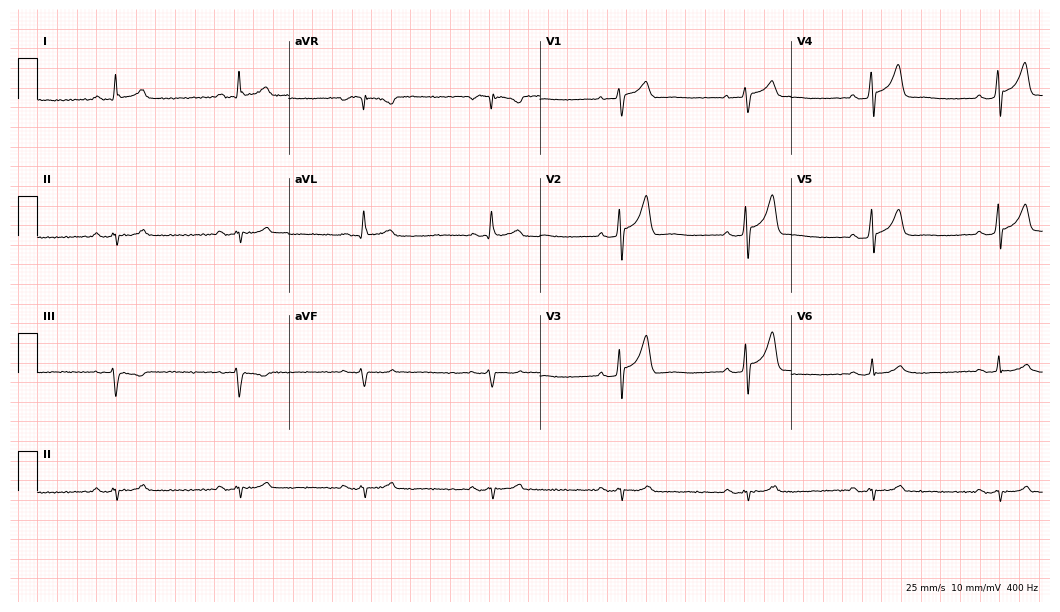
12-lead ECG from a 65-year-old male. Findings include sinus bradycardia (a sinus rate of 50 beats per minute or less).